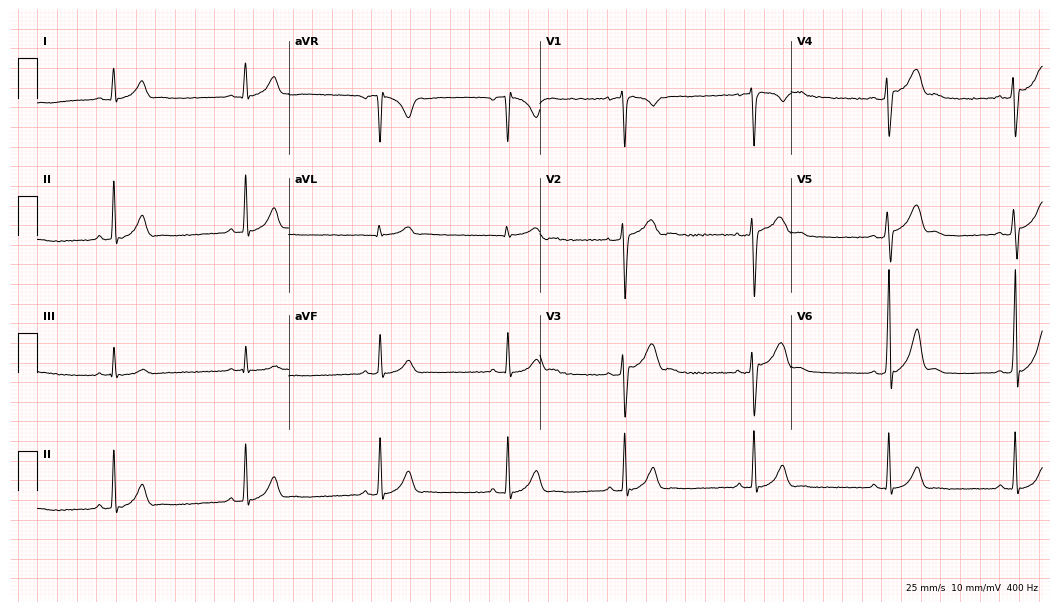
Standard 12-lead ECG recorded from a 19-year-old man (10.2-second recording at 400 Hz). None of these six findings is recorded: first-degree AV block, right bundle branch block (RBBB), left bundle branch block (LBBB), sinus bradycardia, atrial fibrillation (AF), sinus tachycardia. Only these six findings were labelled.